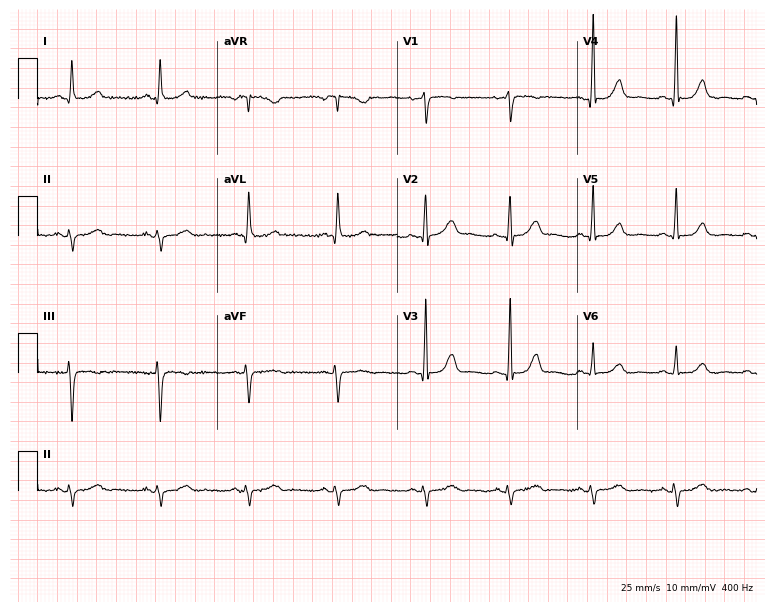
Resting 12-lead electrocardiogram. Patient: a woman, 66 years old. None of these six findings is recorded: first-degree AV block, right bundle branch block, left bundle branch block, sinus bradycardia, atrial fibrillation, sinus tachycardia.